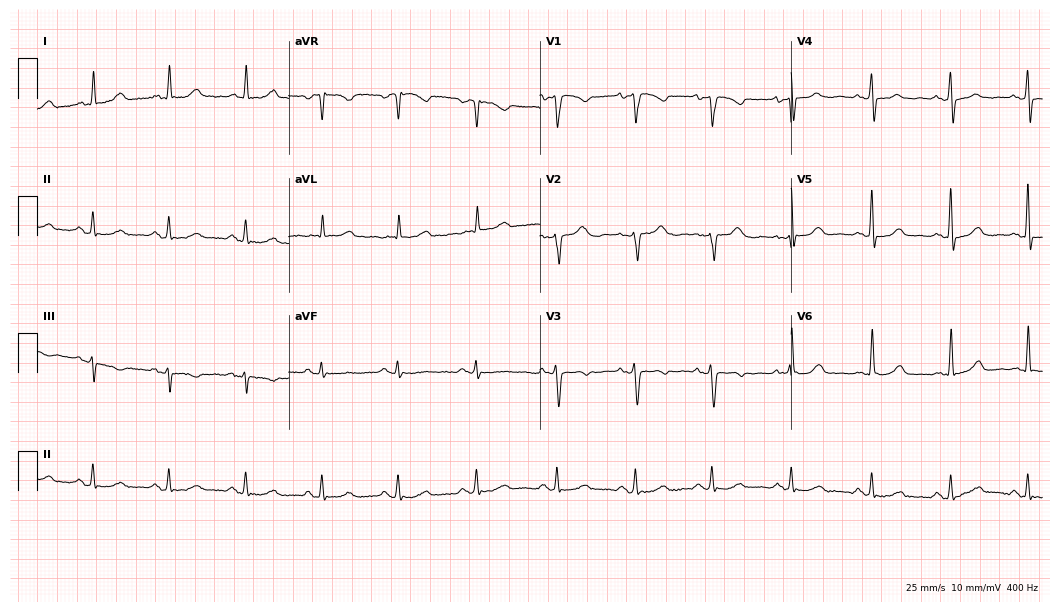
Resting 12-lead electrocardiogram (10.2-second recording at 400 Hz). Patient: a 66-year-old female. Read as a normal ECG.